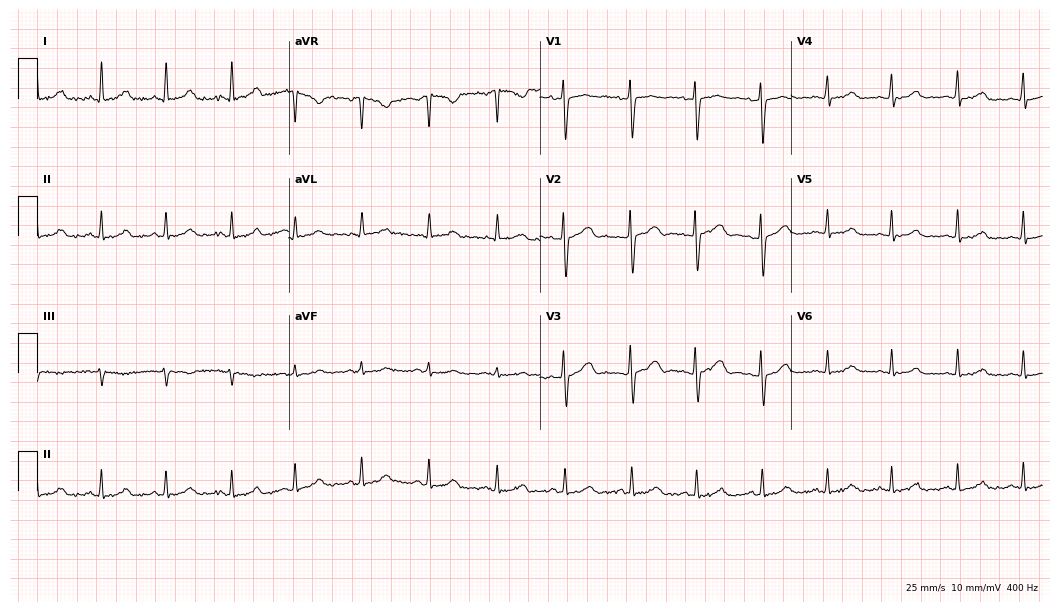
Standard 12-lead ECG recorded from a woman, 32 years old. Read as a normal ECG.